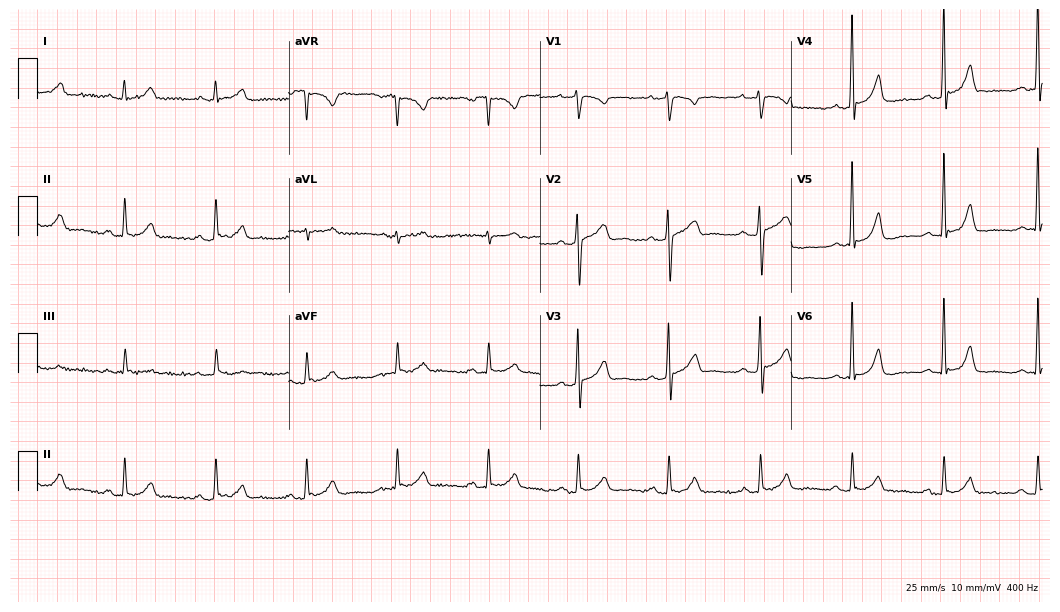
ECG (10.2-second recording at 400 Hz) — a male, 52 years old. Screened for six findings — first-degree AV block, right bundle branch block (RBBB), left bundle branch block (LBBB), sinus bradycardia, atrial fibrillation (AF), sinus tachycardia — none is recorded.